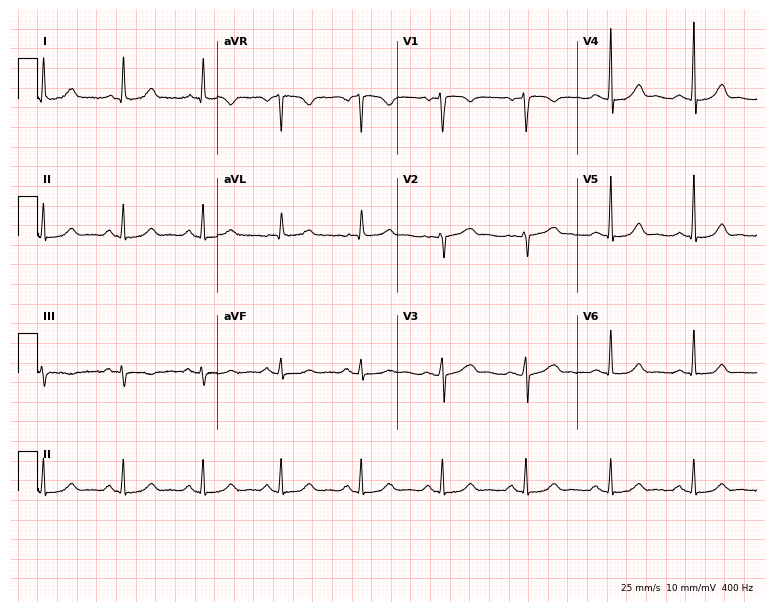
12-lead ECG from a 48-year-old female. Recorded interpretation: within normal limits.